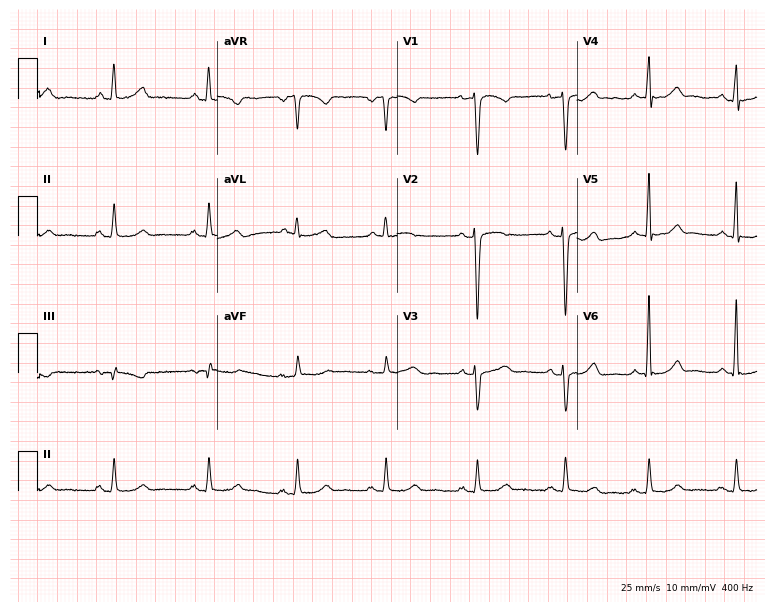
Resting 12-lead electrocardiogram (7.3-second recording at 400 Hz). Patient: a female, 58 years old. Read as a normal ECG.